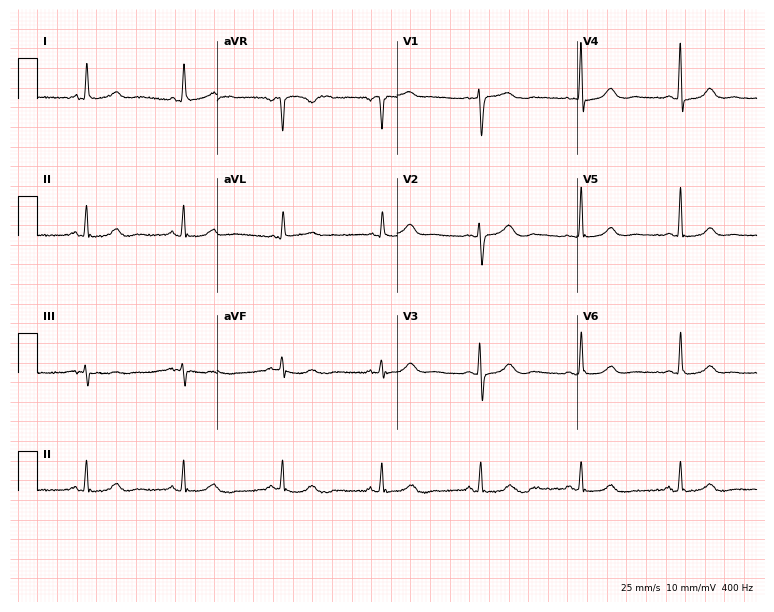
Resting 12-lead electrocardiogram (7.3-second recording at 400 Hz). Patient: a 59-year-old female. Read as a normal ECG.